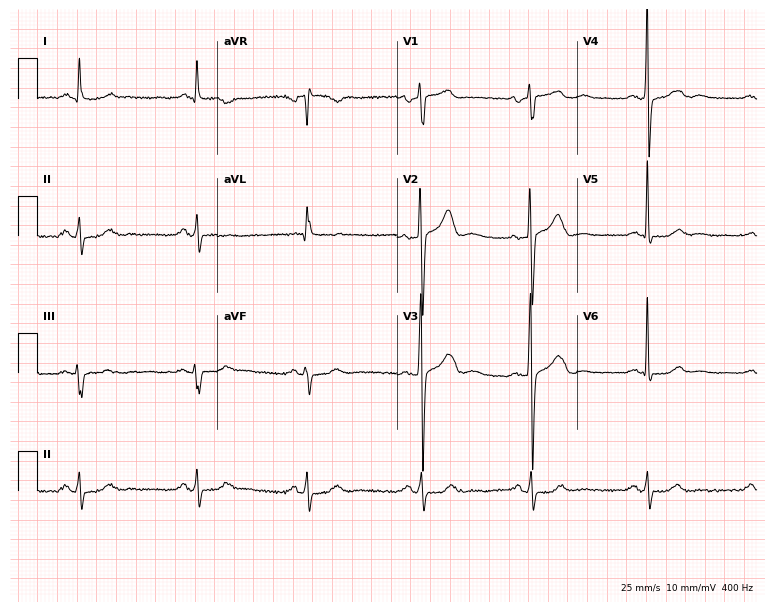
Electrocardiogram, a man, 41 years old. Of the six screened findings (first-degree AV block, right bundle branch block, left bundle branch block, sinus bradycardia, atrial fibrillation, sinus tachycardia), none is recorded.